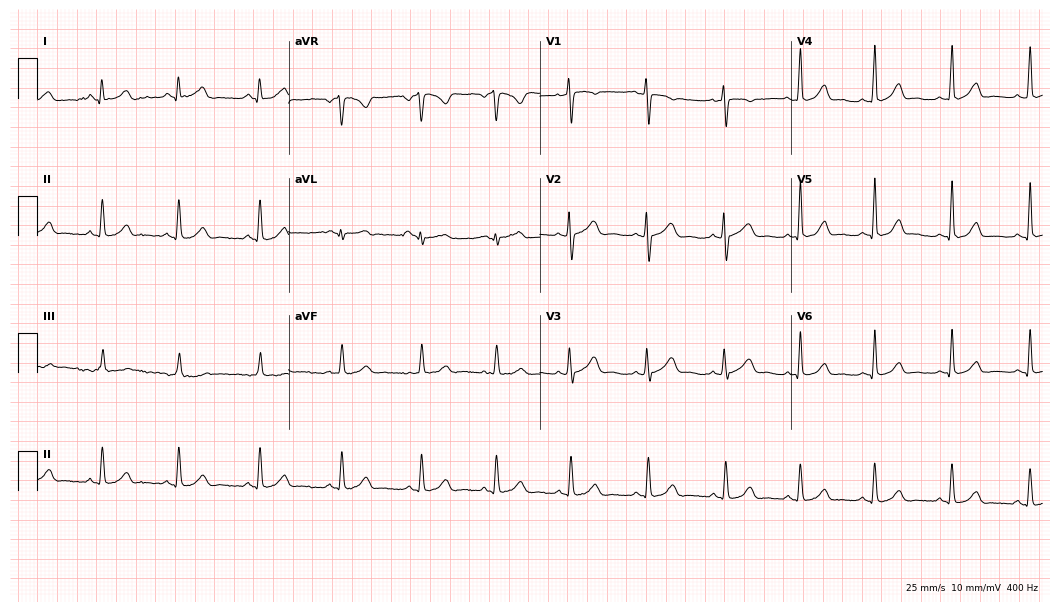
Electrocardiogram (10.2-second recording at 400 Hz), a female, 21 years old. Overall reading on record: normal ECG.